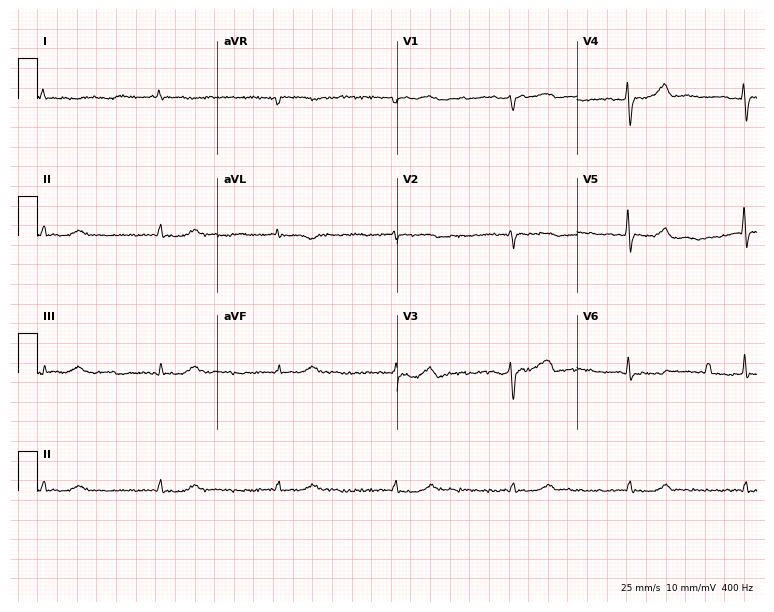
ECG (7.3-second recording at 400 Hz) — a 79-year-old male. Screened for six findings — first-degree AV block, right bundle branch block, left bundle branch block, sinus bradycardia, atrial fibrillation, sinus tachycardia — none is recorded. Only these six findings were labelled.